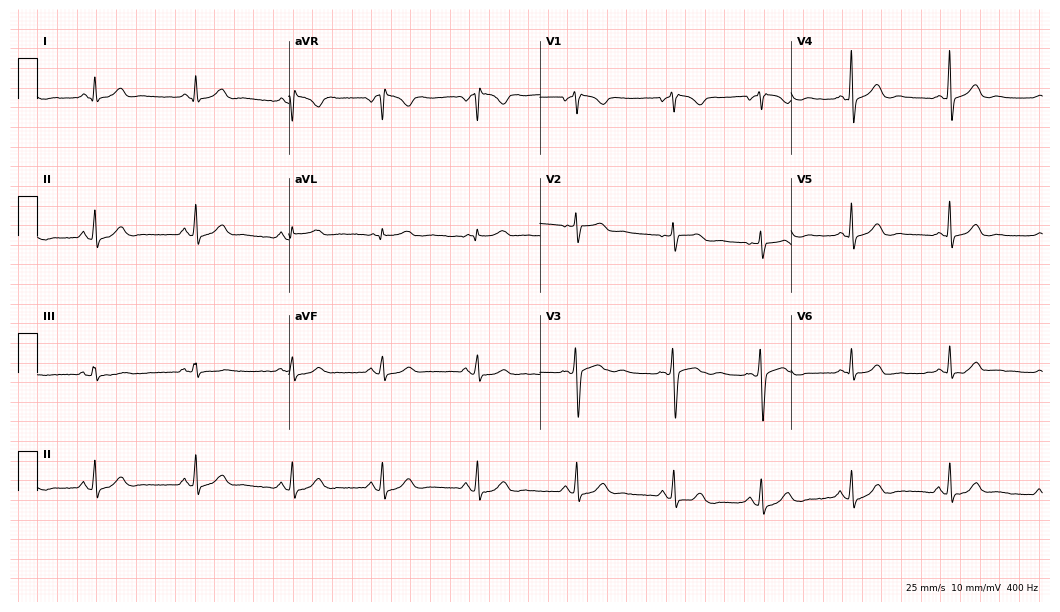
12-lead ECG from a 36-year-old woman. Labelled as a normal ECG.